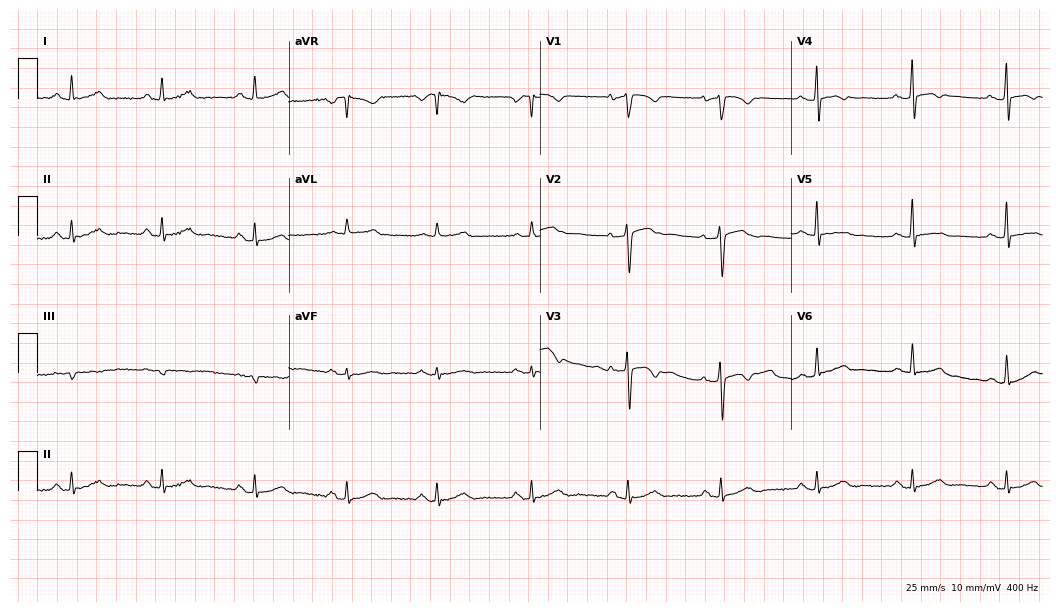
Electrocardiogram (10.2-second recording at 400 Hz), a male patient, 30 years old. Of the six screened findings (first-degree AV block, right bundle branch block (RBBB), left bundle branch block (LBBB), sinus bradycardia, atrial fibrillation (AF), sinus tachycardia), none is recorded. Findings outside these six are not listed.